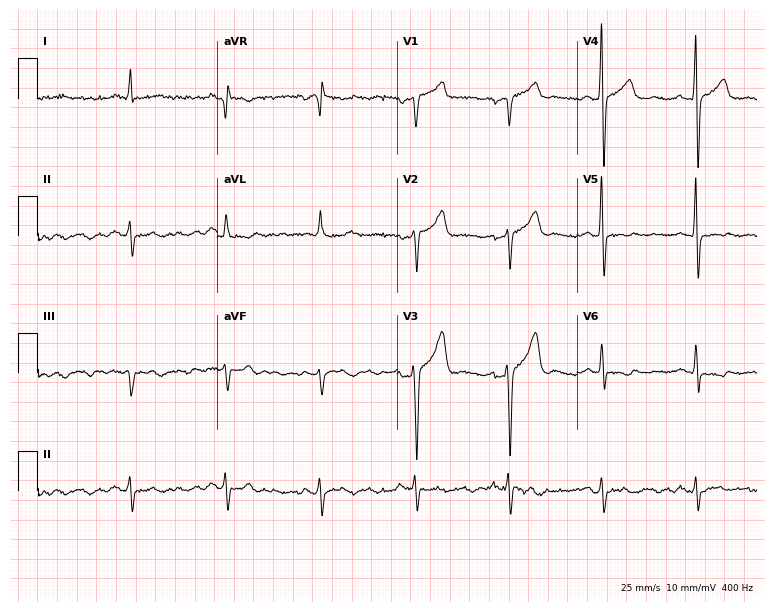
Resting 12-lead electrocardiogram (7.3-second recording at 400 Hz). Patient: a 46-year-old male. None of these six findings is recorded: first-degree AV block, right bundle branch block, left bundle branch block, sinus bradycardia, atrial fibrillation, sinus tachycardia. Other findings, if any, are not listed.